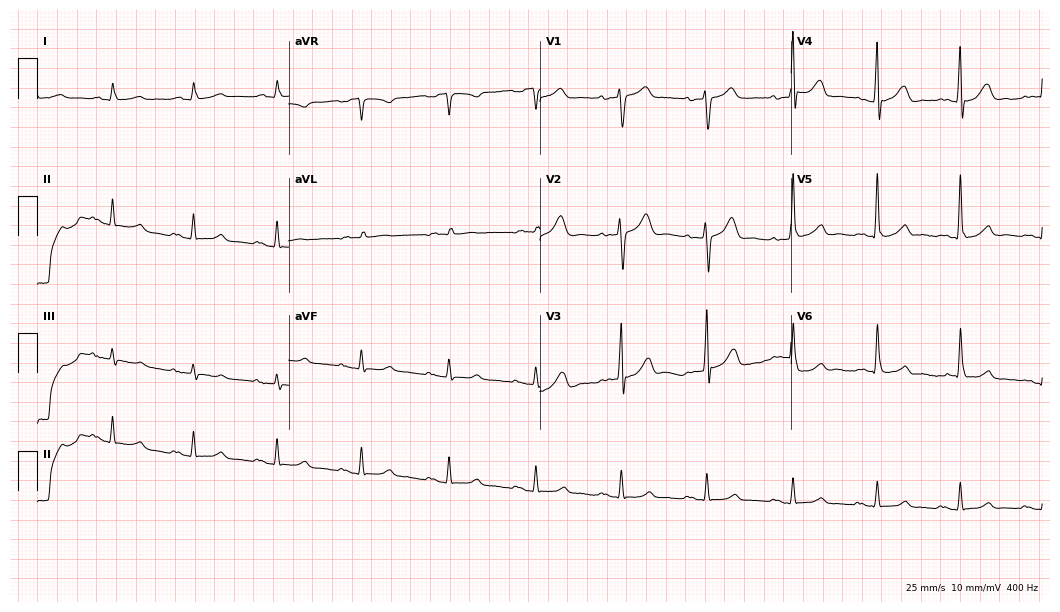
Resting 12-lead electrocardiogram. Patient: a male, 71 years old. Read as a normal ECG.